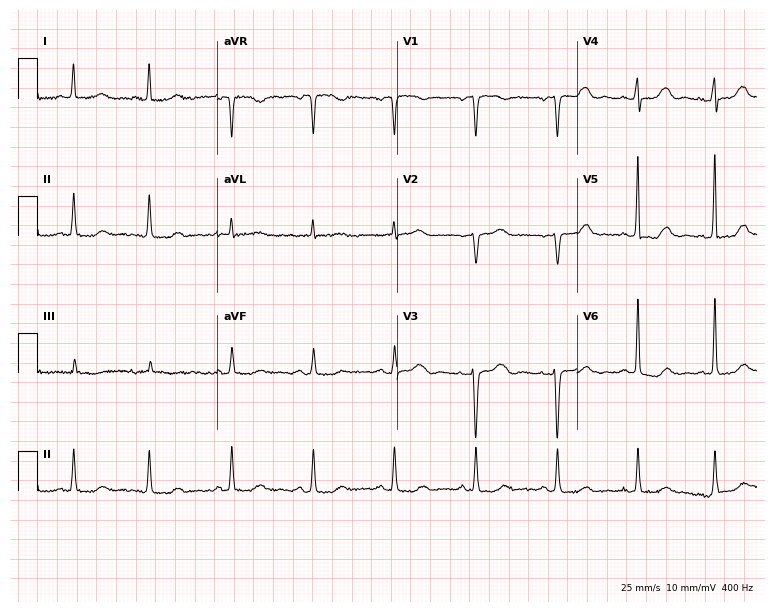
12-lead ECG from a 43-year-old female patient (7.3-second recording at 400 Hz). No first-degree AV block, right bundle branch block, left bundle branch block, sinus bradycardia, atrial fibrillation or sinus tachycardia recorded for this tracing. Findings outside these six are not listed.